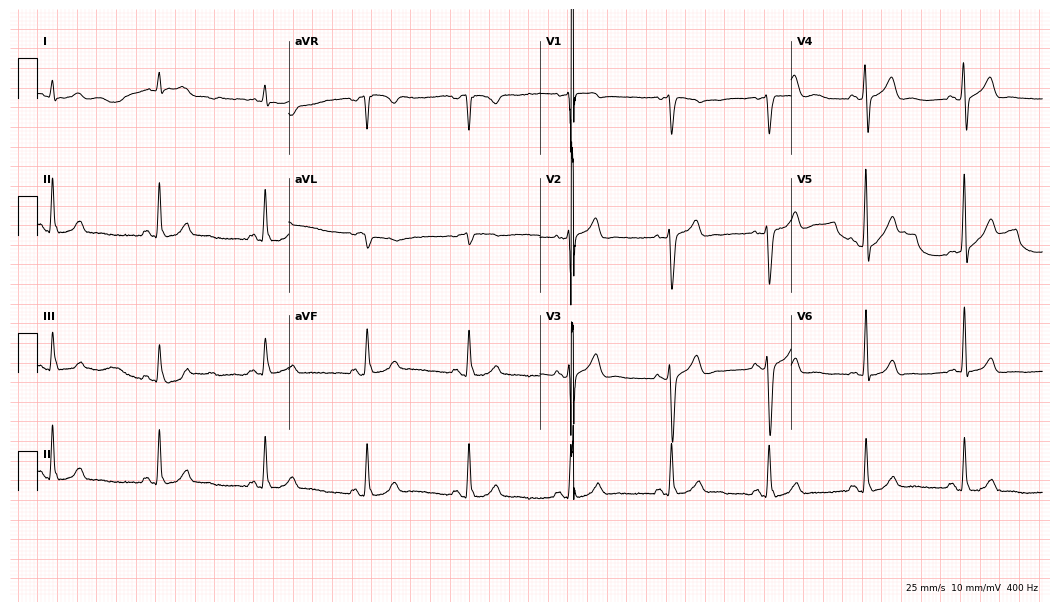
12-lead ECG (10.2-second recording at 400 Hz) from a male, 56 years old. Screened for six findings — first-degree AV block, right bundle branch block, left bundle branch block, sinus bradycardia, atrial fibrillation, sinus tachycardia — none is recorded.